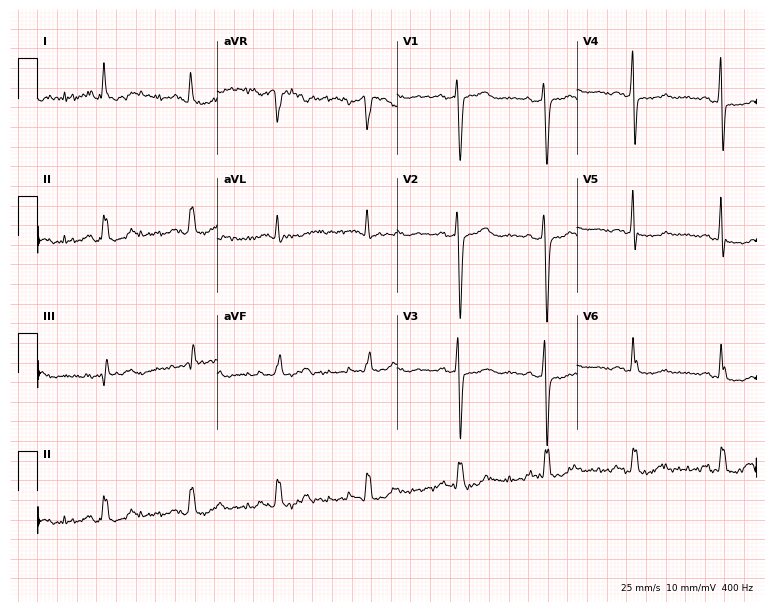
Standard 12-lead ECG recorded from a 62-year-old female (7.3-second recording at 400 Hz). None of these six findings is recorded: first-degree AV block, right bundle branch block, left bundle branch block, sinus bradycardia, atrial fibrillation, sinus tachycardia.